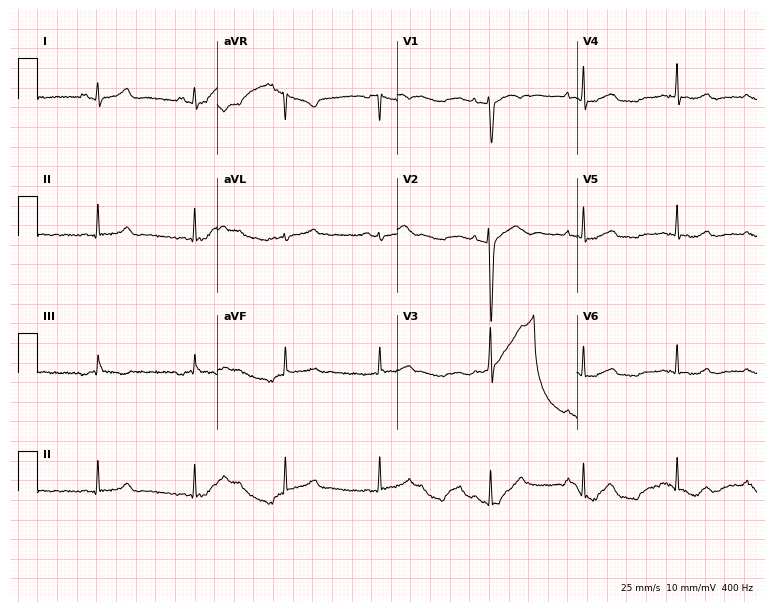
Resting 12-lead electrocardiogram. Patient: a 19-year-old female. Read as a normal ECG.